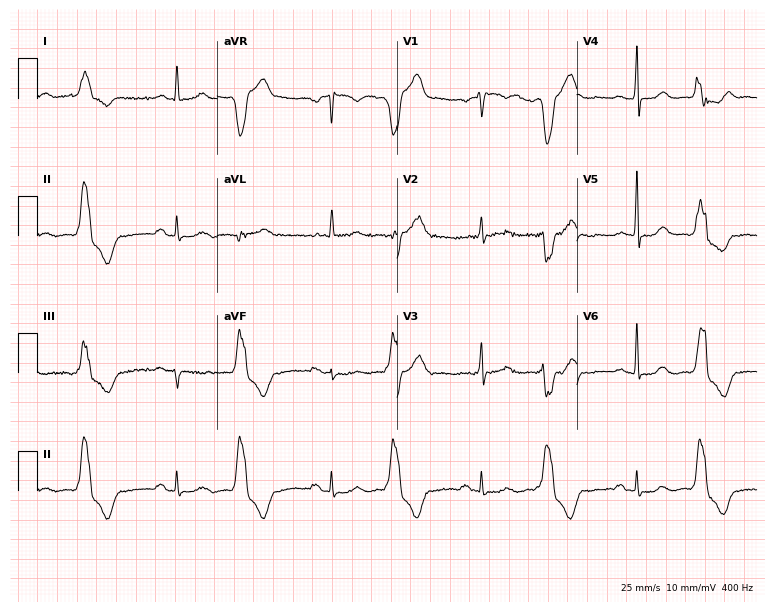
Electrocardiogram, a female patient, 50 years old. Of the six screened findings (first-degree AV block, right bundle branch block, left bundle branch block, sinus bradycardia, atrial fibrillation, sinus tachycardia), none is recorded.